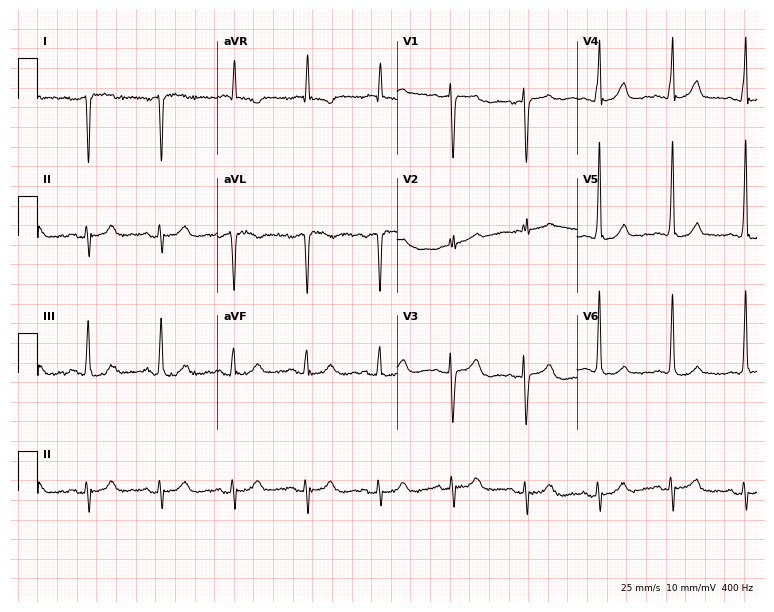
Electrocardiogram, a female, 80 years old. Of the six screened findings (first-degree AV block, right bundle branch block (RBBB), left bundle branch block (LBBB), sinus bradycardia, atrial fibrillation (AF), sinus tachycardia), none is recorded. Other findings, if any, are not listed.